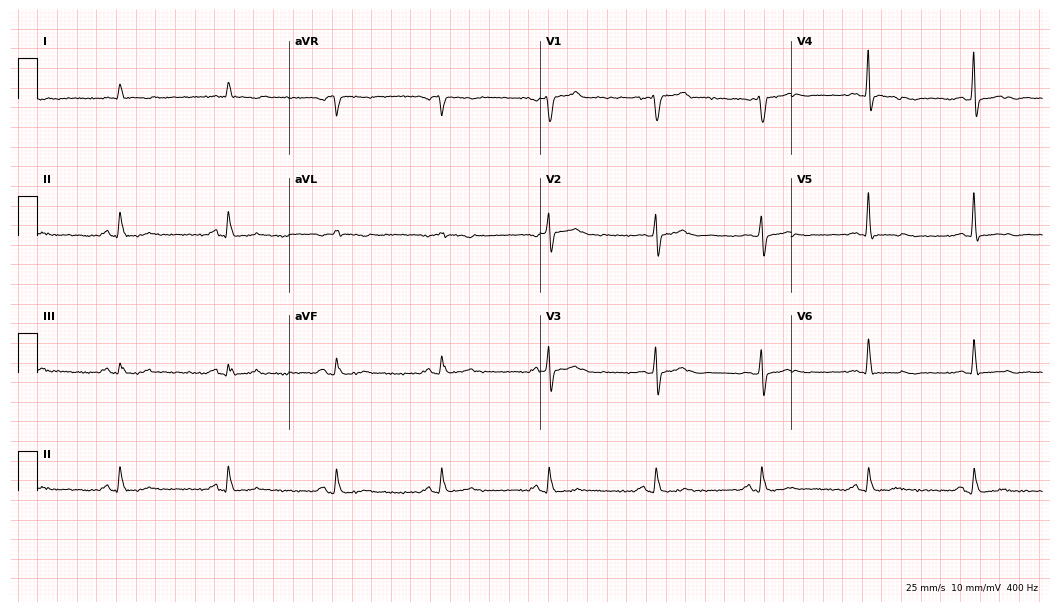
12-lead ECG from a man, 68 years old. Screened for six findings — first-degree AV block, right bundle branch block, left bundle branch block, sinus bradycardia, atrial fibrillation, sinus tachycardia — none is recorded.